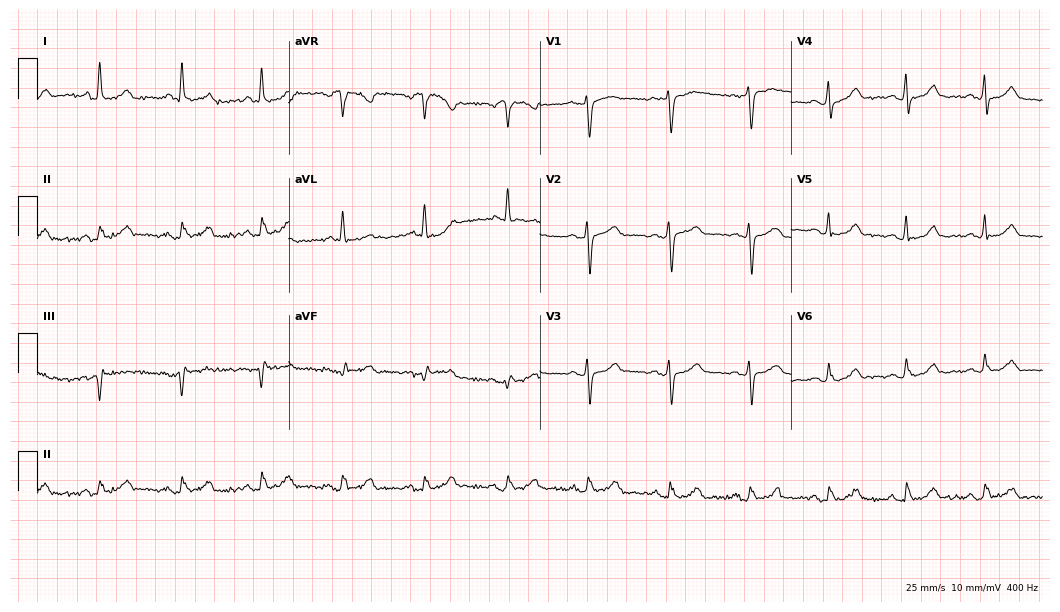
12-lead ECG (10.2-second recording at 400 Hz) from a 68-year-old female patient. Screened for six findings — first-degree AV block, right bundle branch block, left bundle branch block, sinus bradycardia, atrial fibrillation, sinus tachycardia — none is recorded.